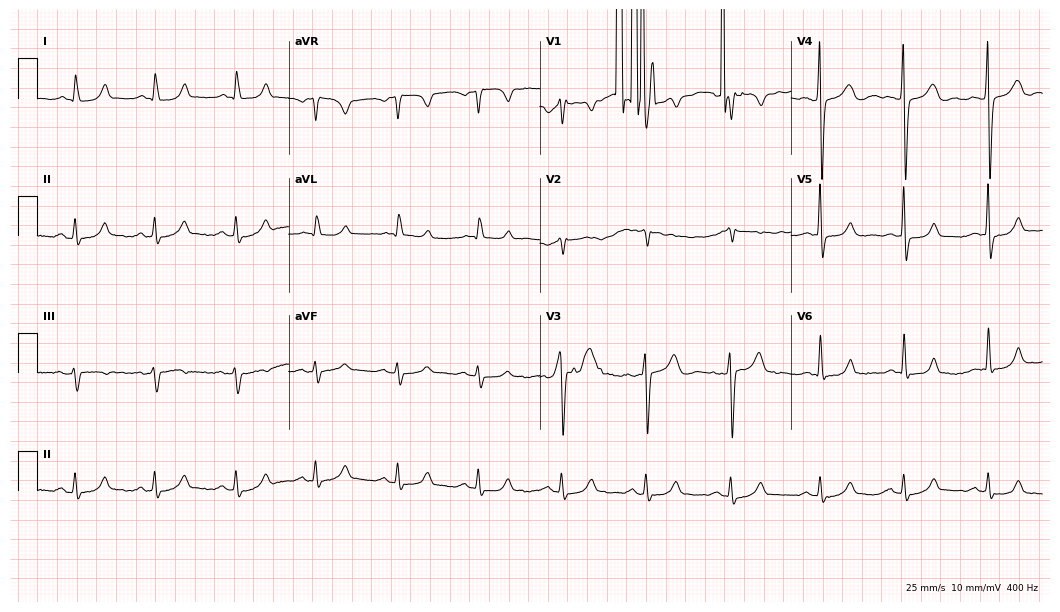
Standard 12-lead ECG recorded from a 59-year-old man (10.2-second recording at 400 Hz). None of these six findings is recorded: first-degree AV block, right bundle branch block, left bundle branch block, sinus bradycardia, atrial fibrillation, sinus tachycardia.